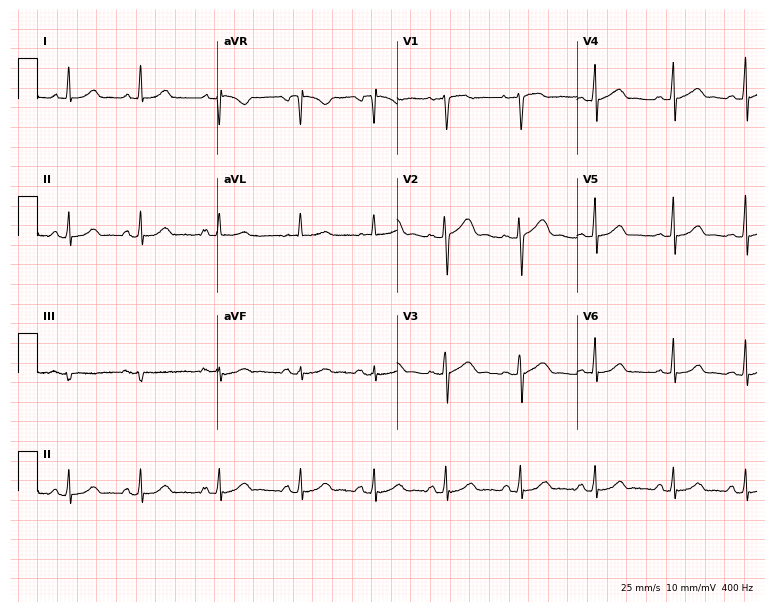
Resting 12-lead electrocardiogram (7.3-second recording at 400 Hz). Patient: a female, 27 years old. Read as a normal ECG.